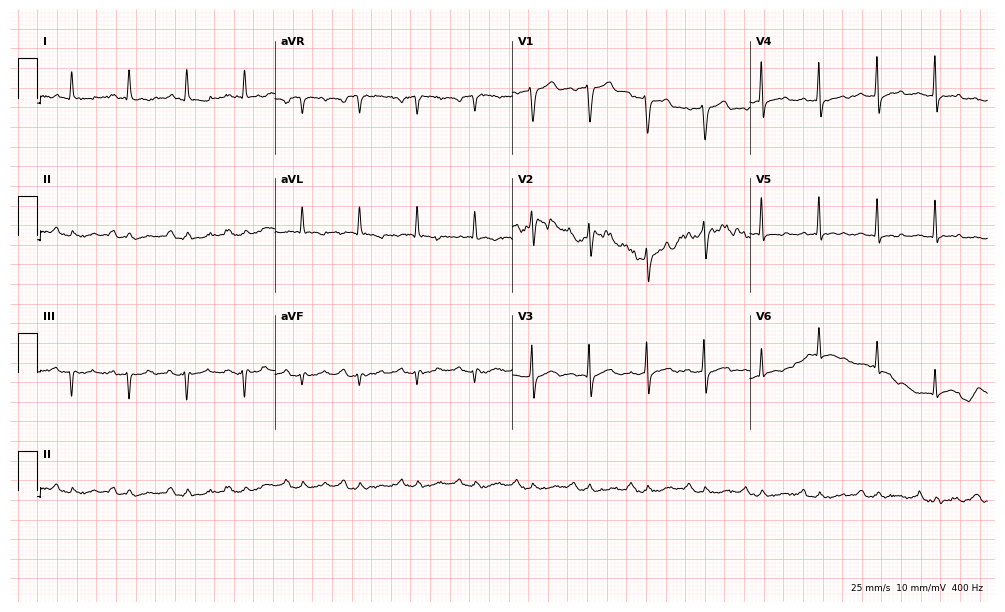
Electrocardiogram, an 80-year-old female patient. Of the six screened findings (first-degree AV block, right bundle branch block, left bundle branch block, sinus bradycardia, atrial fibrillation, sinus tachycardia), none is recorded. Findings outside these six are not listed.